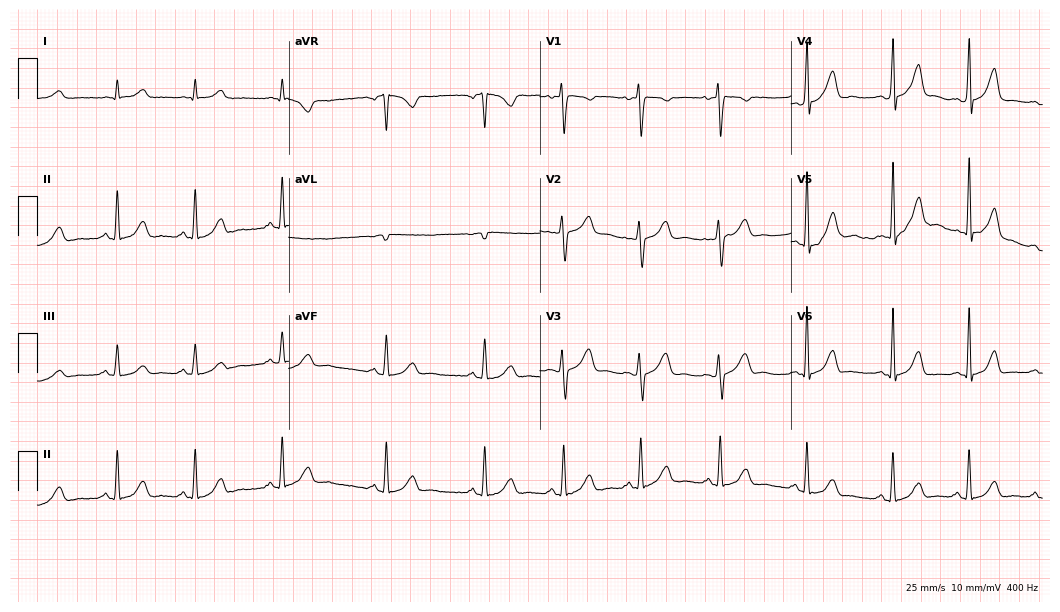
Electrocardiogram, a man, 41 years old. Overall reading on record: normal ECG.